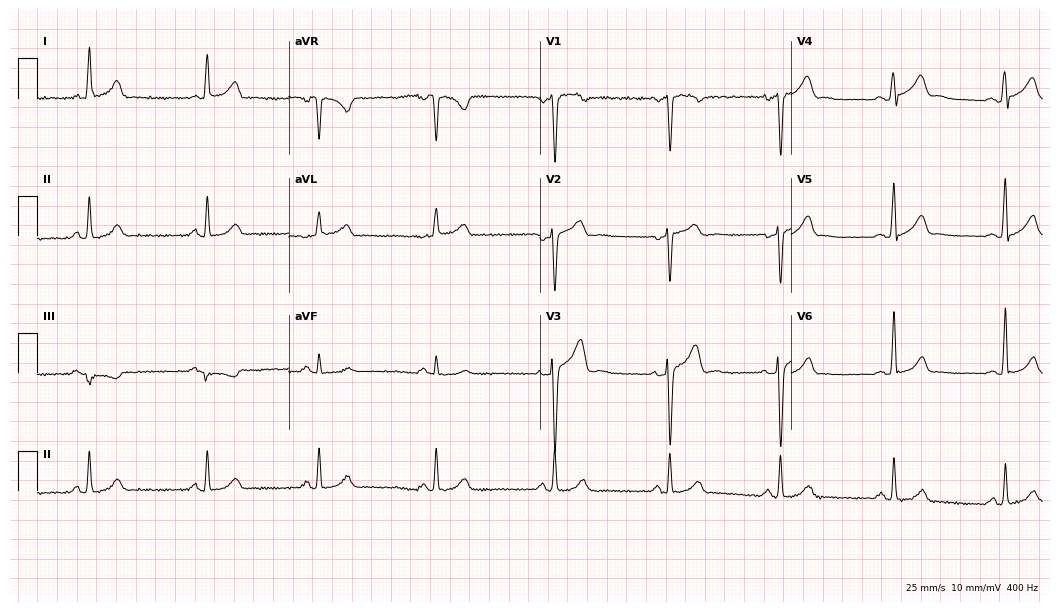
Electrocardiogram, a man, 29 years old. Overall reading on record: normal ECG.